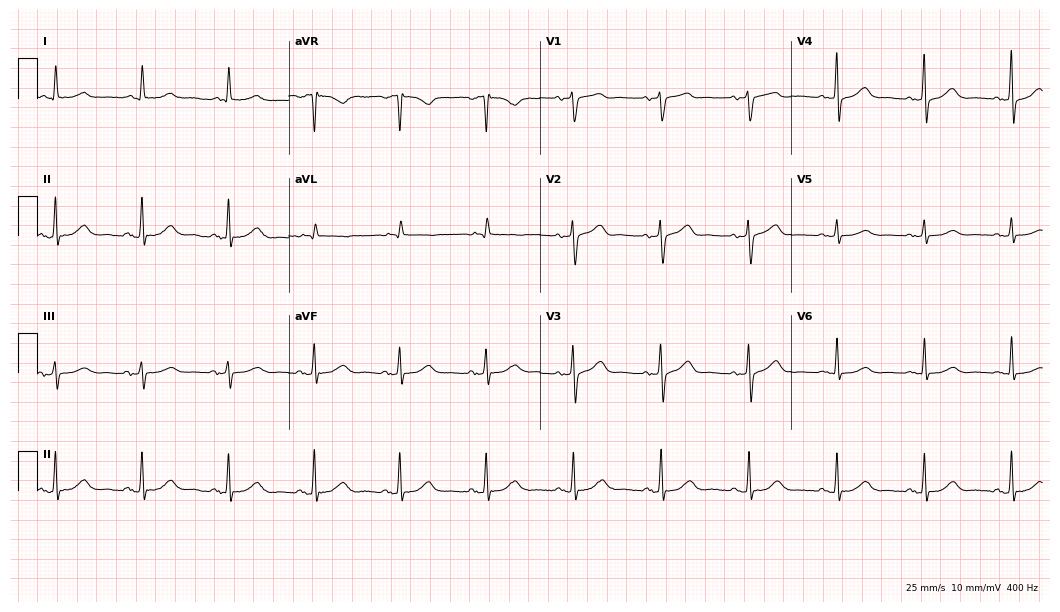
12-lead ECG from a man, 85 years old. Labelled as a normal ECG.